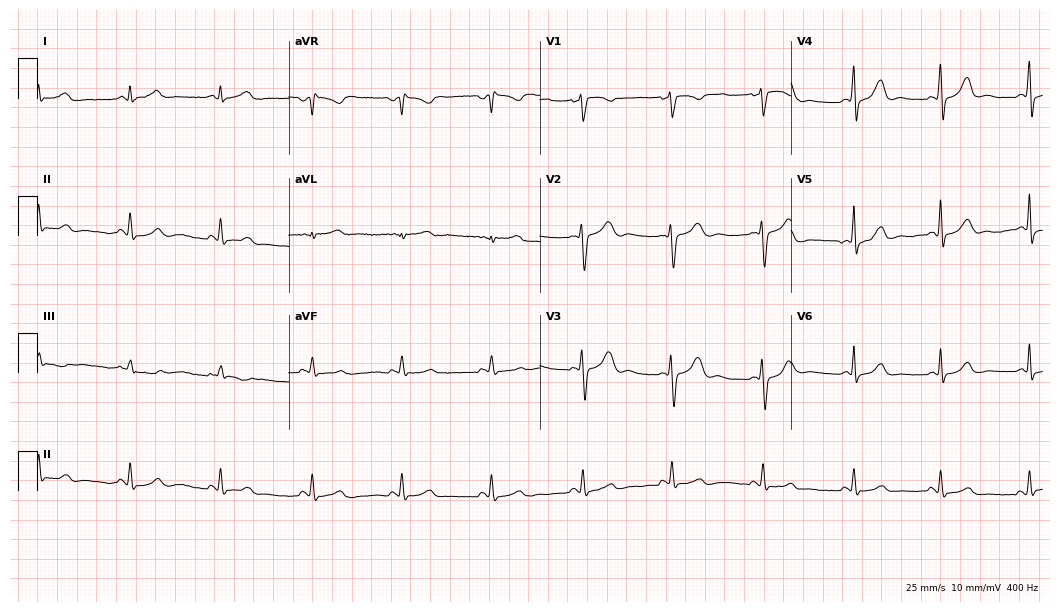
12-lead ECG from a woman, 41 years old (10.2-second recording at 400 Hz). No first-degree AV block, right bundle branch block, left bundle branch block, sinus bradycardia, atrial fibrillation or sinus tachycardia recorded for this tracing.